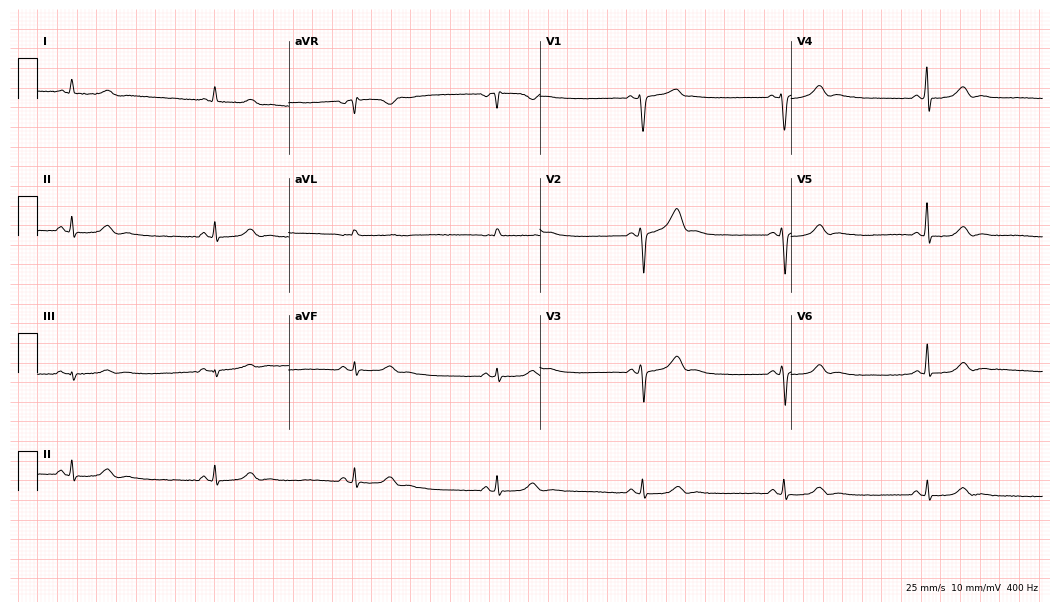
12-lead ECG (10.2-second recording at 400 Hz) from a 71-year-old man. Findings include sinus bradycardia (a sinus rate of 50 beats per minute or less).